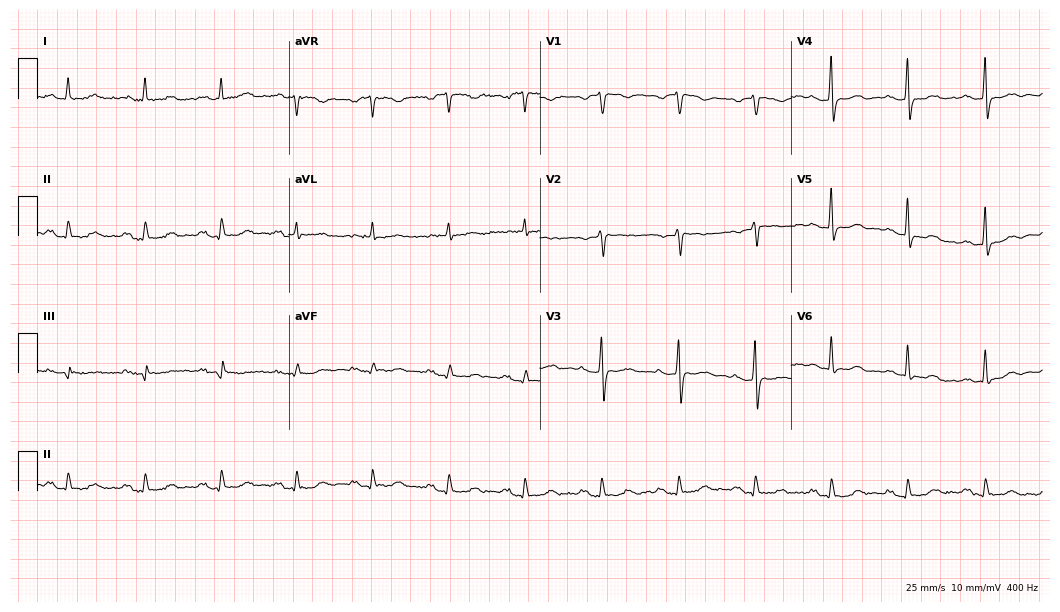
Standard 12-lead ECG recorded from a female patient, 69 years old (10.2-second recording at 400 Hz). None of these six findings is recorded: first-degree AV block, right bundle branch block, left bundle branch block, sinus bradycardia, atrial fibrillation, sinus tachycardia. Findings outside these six are not listed.